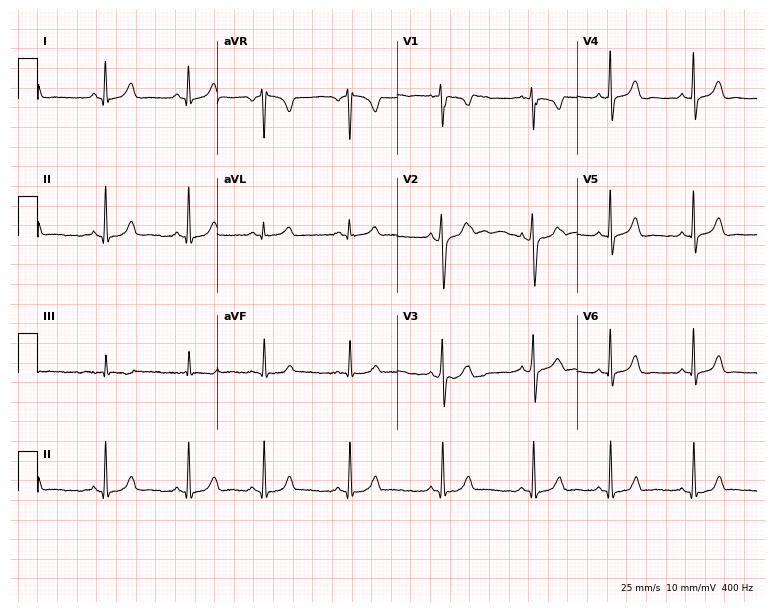
12-lead ECG from a female patient, 17 years old. Recorded interpretation: within normal limits.